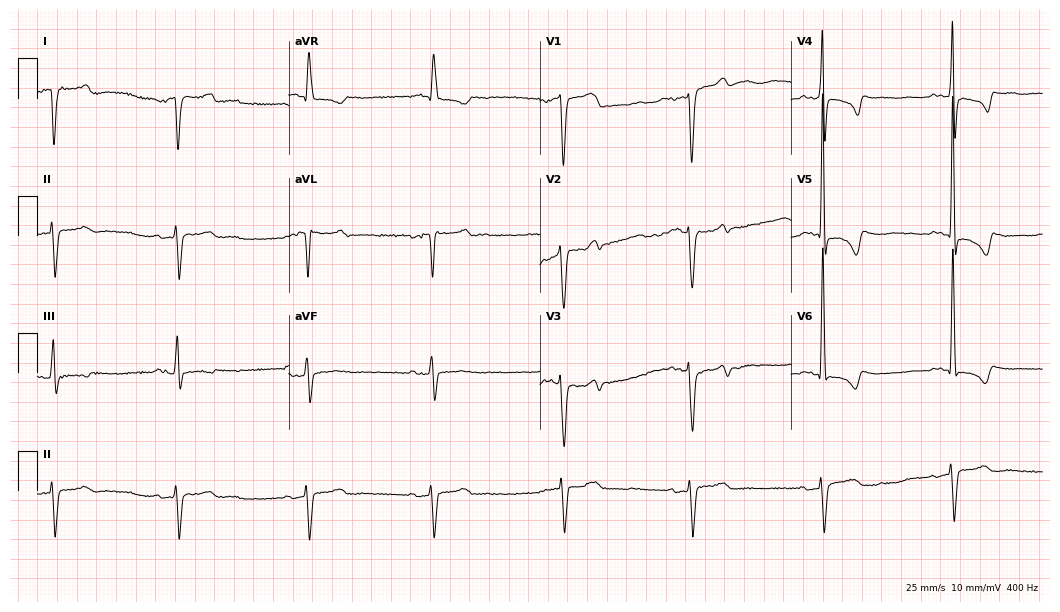
ECG (10.2-second recording at 400 Hz) — a 73-year-old man. Screened for six findings — first-degree AV block, right bundle branch block (RBBB), left bundle branch block (LBBB), sinus bradycardia, atrial fibrillation (AF), sinus tachycardia — none is recorded.